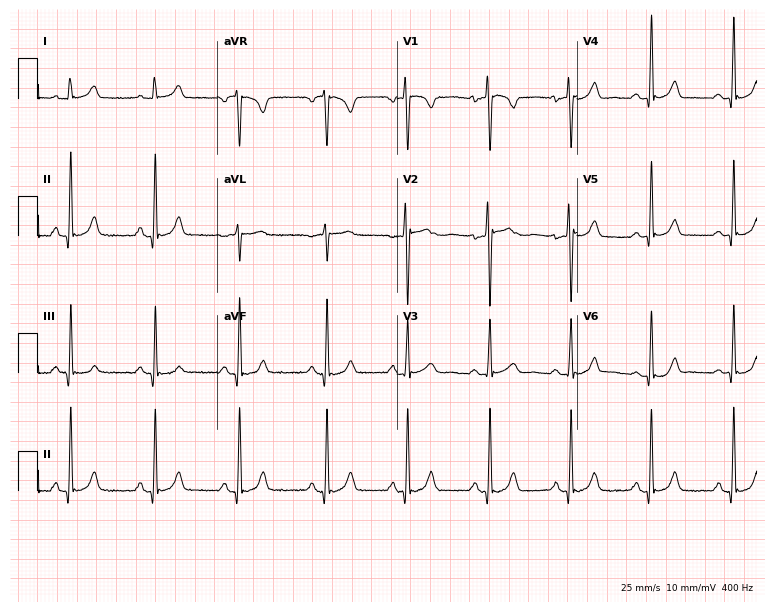
Electrocardiogram, a female patient, 21 years old. Overall reading on record: normal ECG.